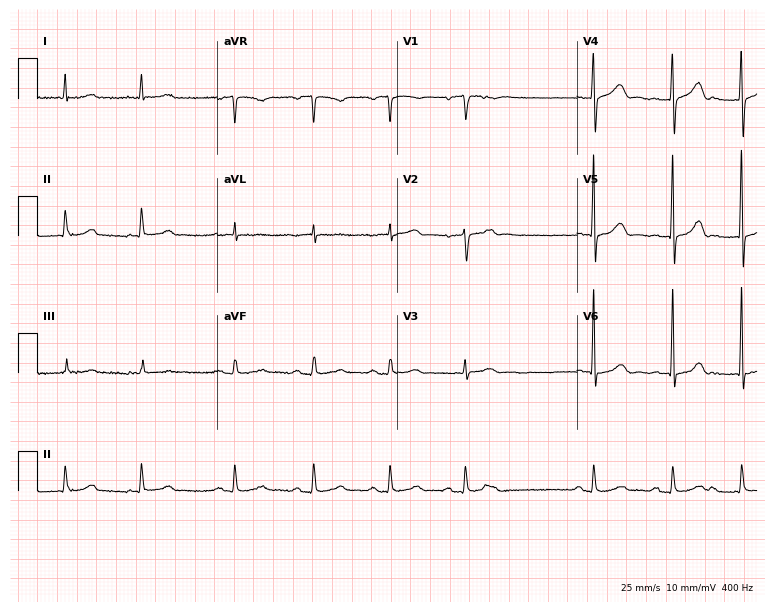
Electrocardiogram, a male patient, 82 years old. Of the six screened findings (first-degree AV block, right bundle branch block, left bundle branch block, sinus bradycardia, atrial fibrillation, sinus tachycardia), none is recorded.